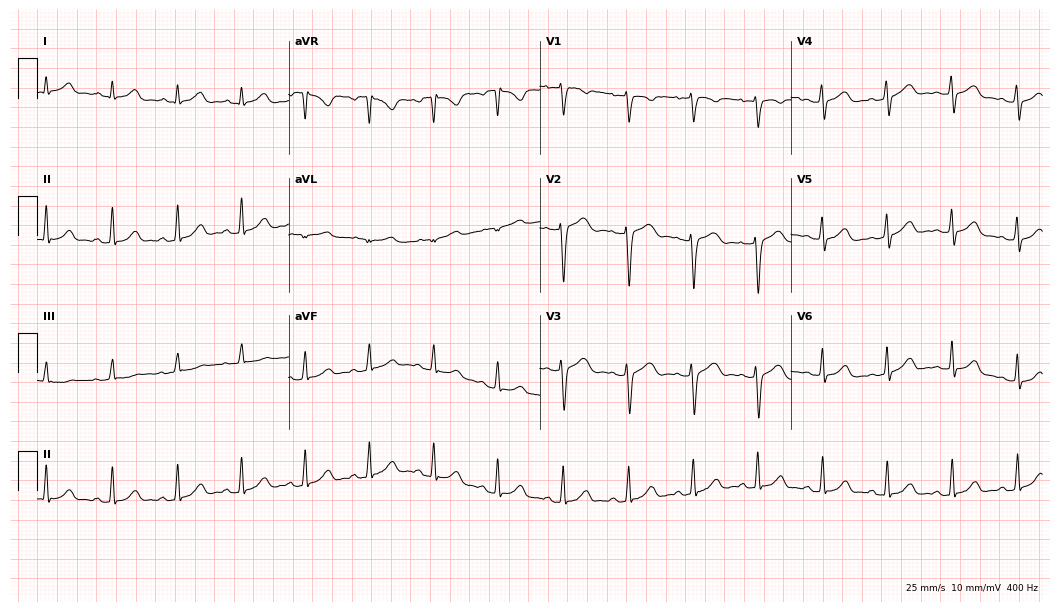
12-lead ECG from a female, 34 years old (10.2-second recording at 400 Hz). Recorded interpretation: within normal limits.